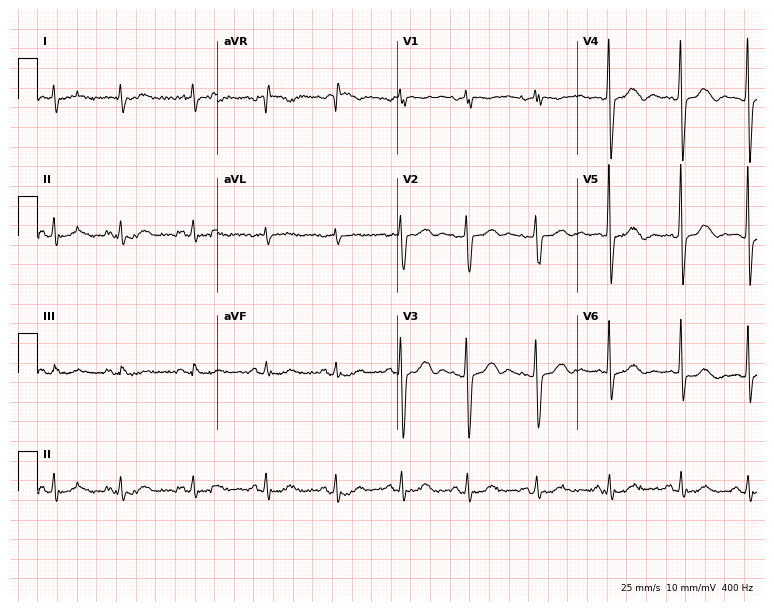
Resting 12-lead electrocardiogram (7.3-second recording at 400 Hz). Patient: a man, 86 years old. None of these six findings is recorded: first-degree AV block, right bundle branch block, left bundle branch block, sinus bradycardia, atrial fibrillation, sinus tachycardia. Only these six findings were labelled.